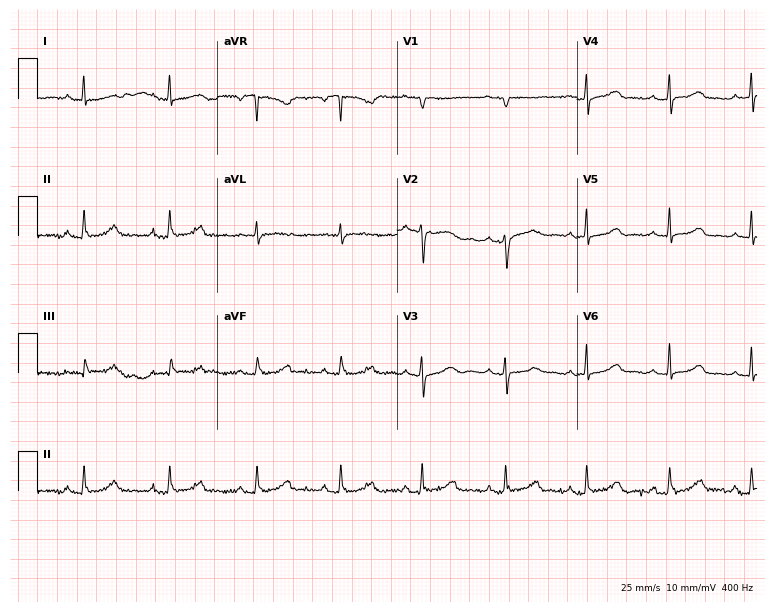
ECG — a 40-year-old woman. Labelled as a normal ECG.